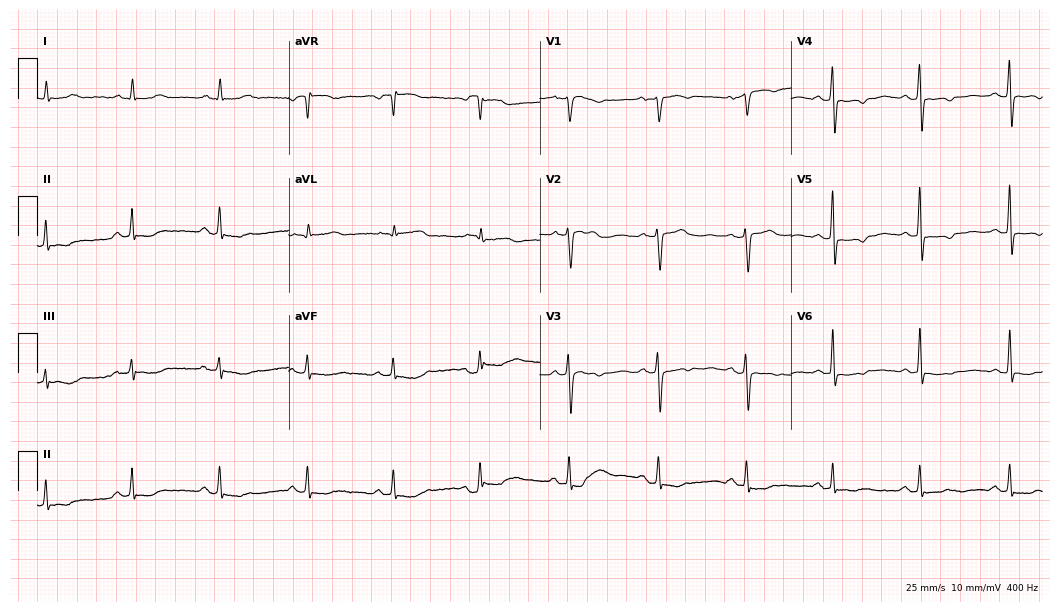
Standard 12-lead ECG recorded from a 64-year-old woman (10.2-second recording at 400 Hz). None of these six findings is recorded: first-degree AV block, right bundle branch block, left bundle branch block, sinus bradycardia, atrial fibrillation, sinus tachycardia.